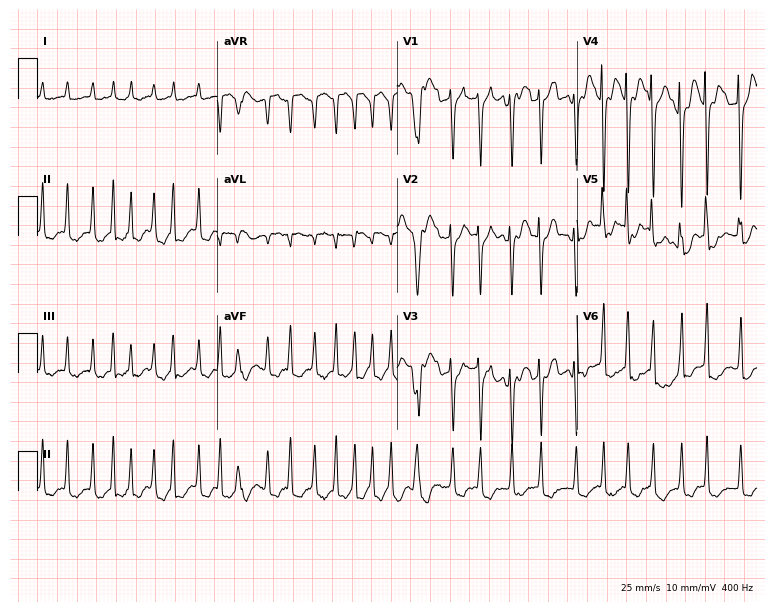
12-lead ECG from a woman, 74 years old. Findings include atrial fibrillation (AF).